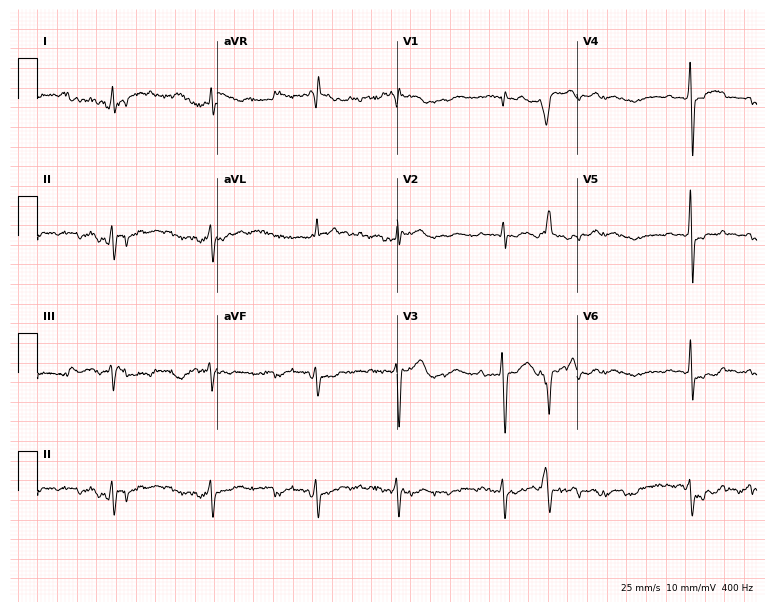
12-lead ECG from a man, 57 years old. Screened for six findings — first-degree AV block, right bundle branch block (RBBB), left bundle branch block (LBBB), sinus bradycardia, atrial fibrillation (AF), sinus tachycardia — none is recorded.